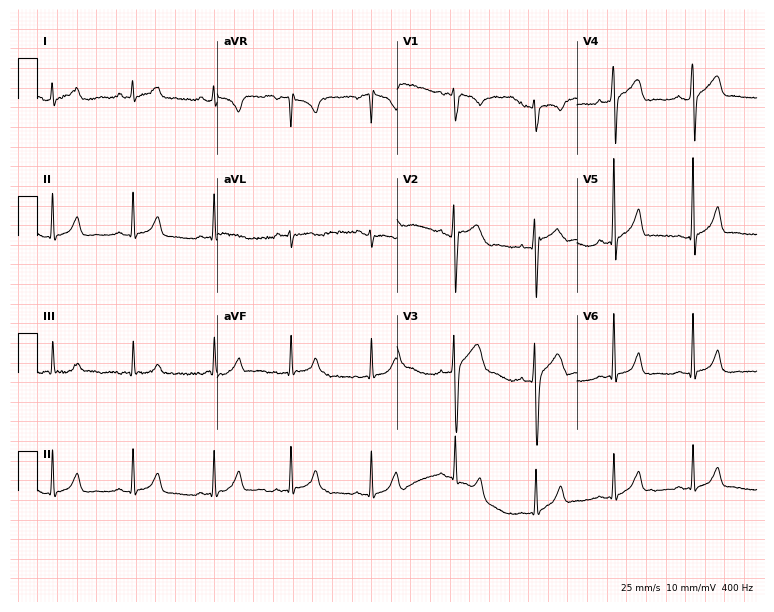
12-lead ECG from an 18-year-old male. Screened for six findings — first-degree AV block, right bundle branch block, left bundle branch block, sinus bradycardia, atrial fibrillation, sinus tachycardia — none is recorded.